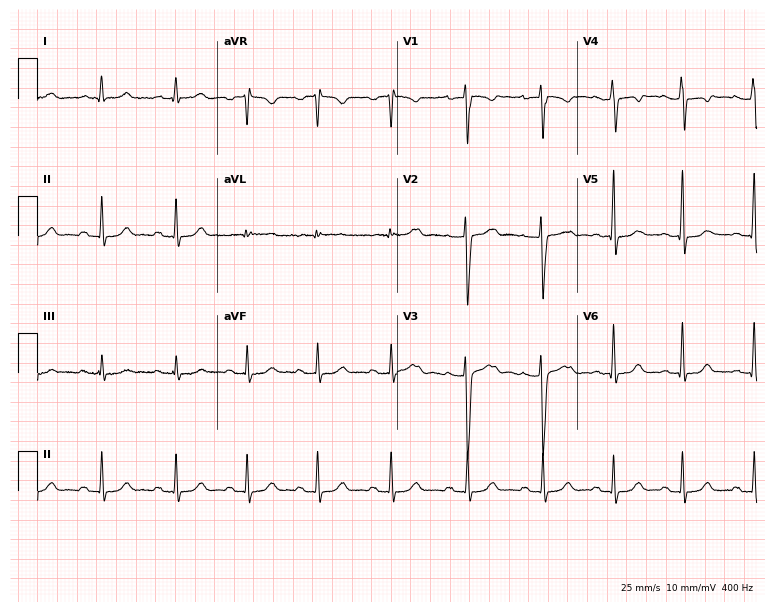
Resting 12-lead electrocardiogram (7.3-second recording at 400 Hz). Patient: a female, 32 years old. Read as a normal ECG.